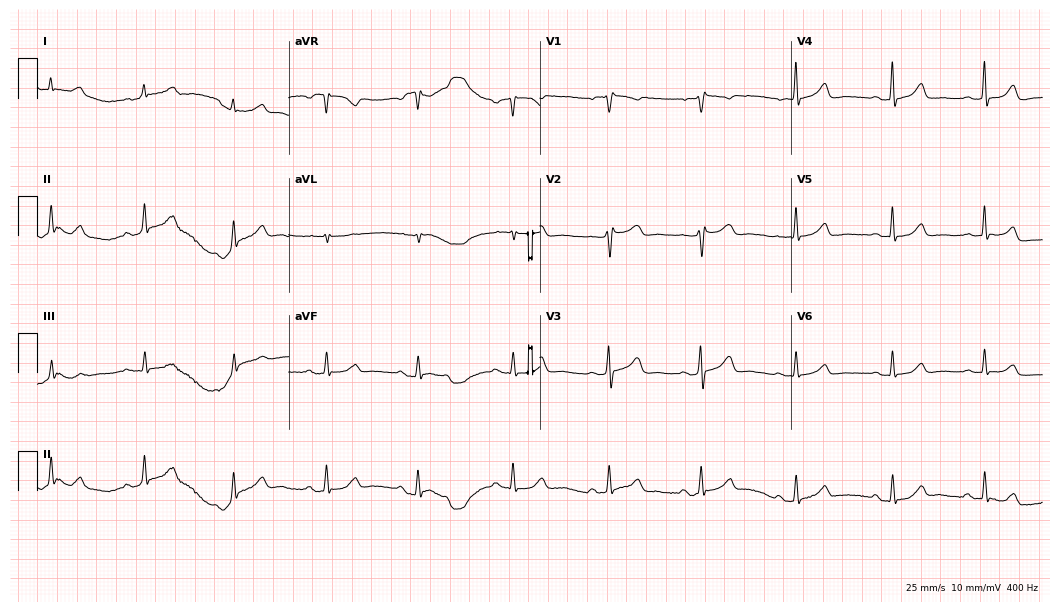
Resting 12-lead electrocardiogram. Patient: a female, 45 years old. None of these six findings is recorded: first-degree AV block, right bundle branch block, left bundle branch block, sinus bradycardia, atrial fibrillation, sinus tachycardia.